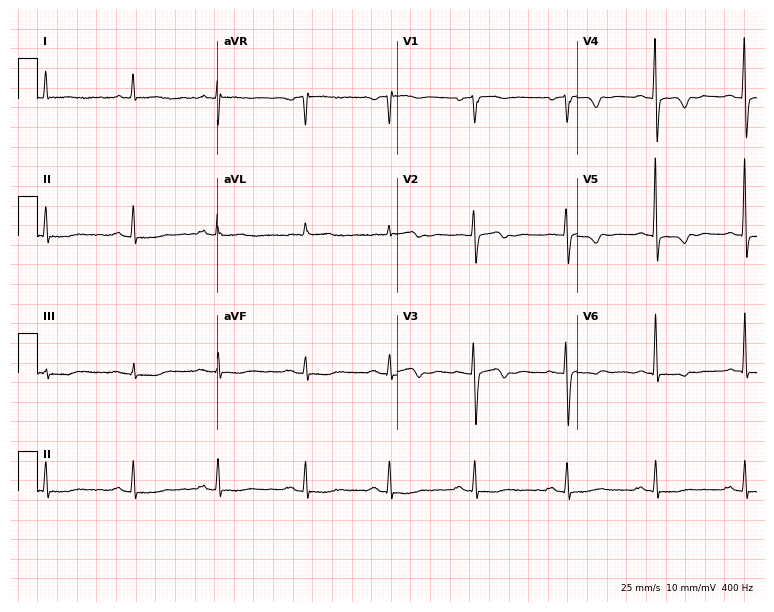
Standard 12-lead ECG recorded from a 69-year-old woman (7.3-second recording at 400 Hz). None of these six findings is recorded: first-degree AV block, right bundle branch block, left bundle branch block, sinus bradycardia, atrial fibrillation, sinus tachycardia. Other findings, if any, are not listed.